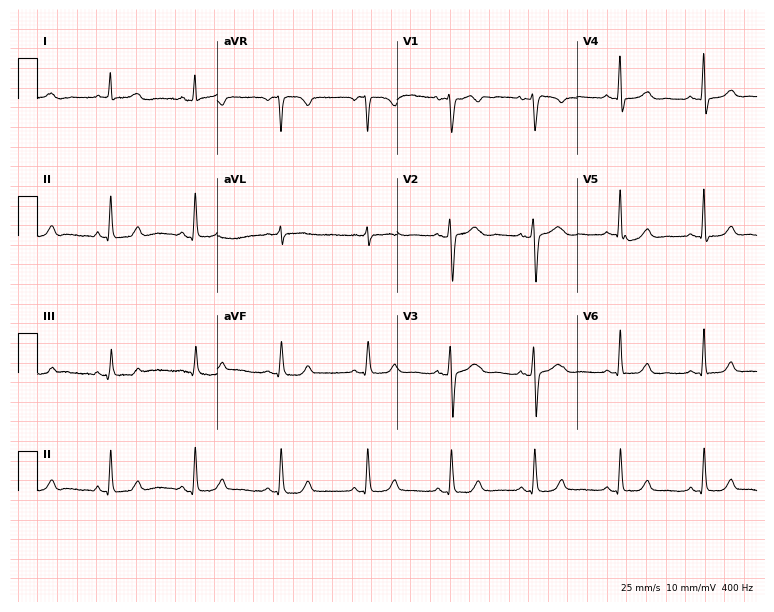
Standard 12-lead ECG recorded from a 32-year-old female patient. None of these six findings is recorded: first-degree AV block, right bundle branch block (RBBB), left bundle branch block (LBBB), sinus bradycardia, atrial fibrillation (AF), sinus tachycardia.